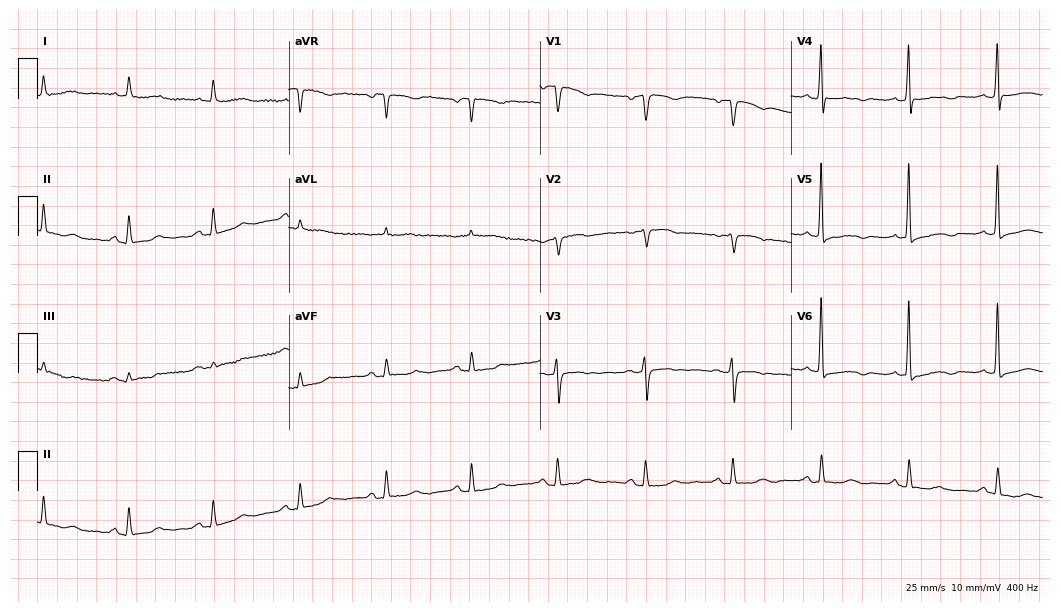
ECG — a female, 82 years old. Labelled as a normal ECG.